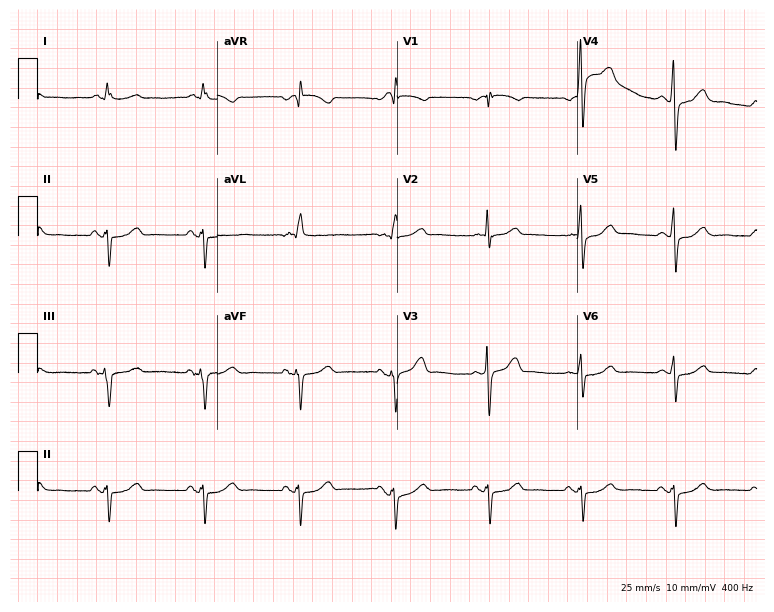
12-lead ECG from a 60-year-old man. No first-degree AV block, right bundle branch block (RBBB), left bundle branch block (LBBB), sinus bradycardia, atrial fibrillation (AF) or sinus tachycardia recorded for this tracing.